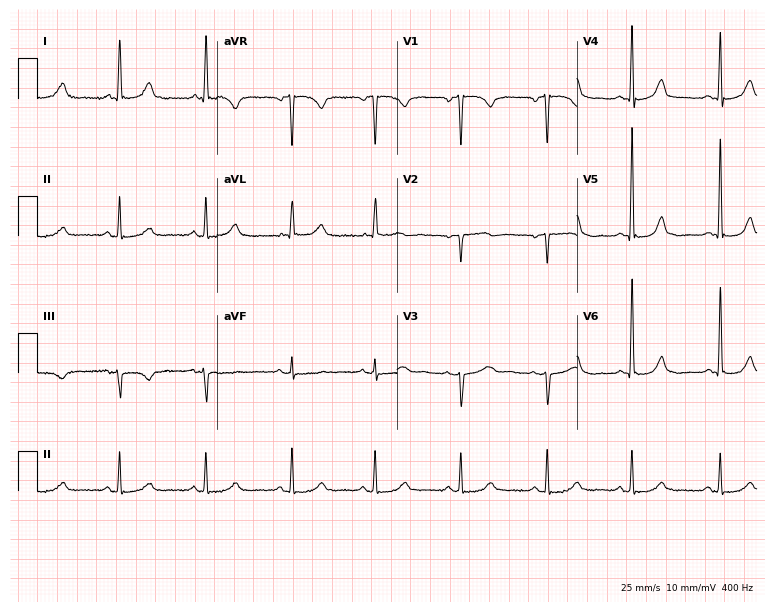
Electrocardiogram, a female, 54 years old. Of the six screened findings (first-degree AV block, right bundle branch block (RBBB), left bundle branch block (LBBB), sinus bradycardia, atrial fibrillation (AF), sinus tachycardia), none is recorded. Other findings, if any, are not listed.